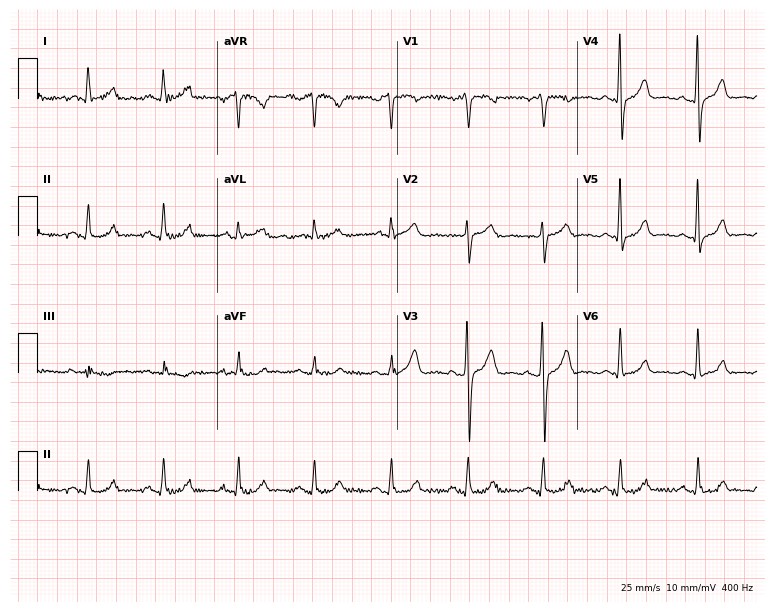
Electrocardiogram (7.3-second recording at 400 Hz), a 50-year-old male patient. Overall reading on record: normal ECG.